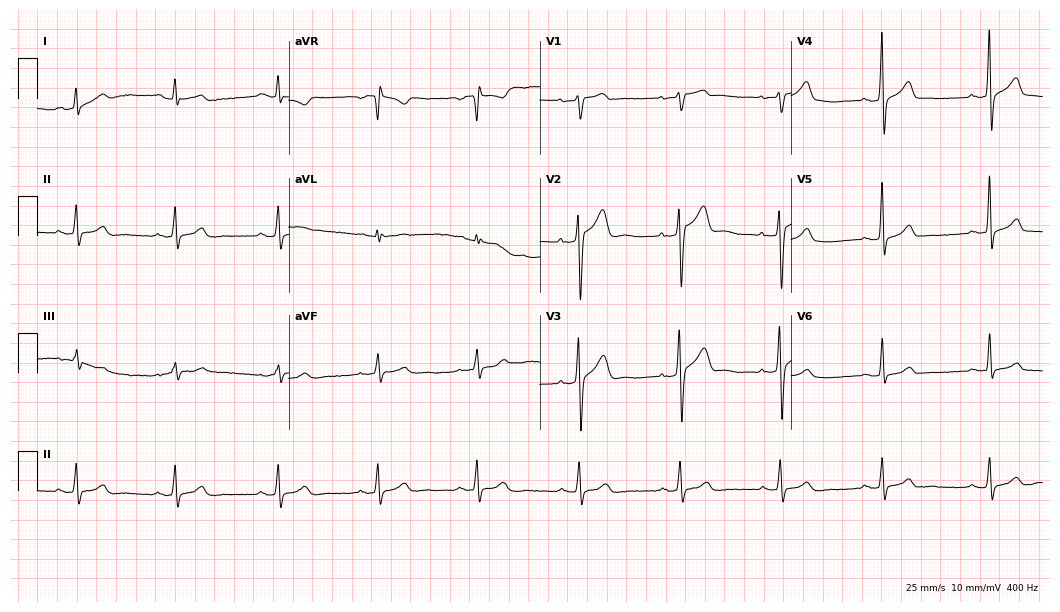
Standard 12-lead ECG recorded from a 39-year-old male. None of these six findings is recorded: first-degree AV block, right bundle branch block, left bundle branch block, sinus bradycardia, atrial fibrillation, sinus tachycardia.